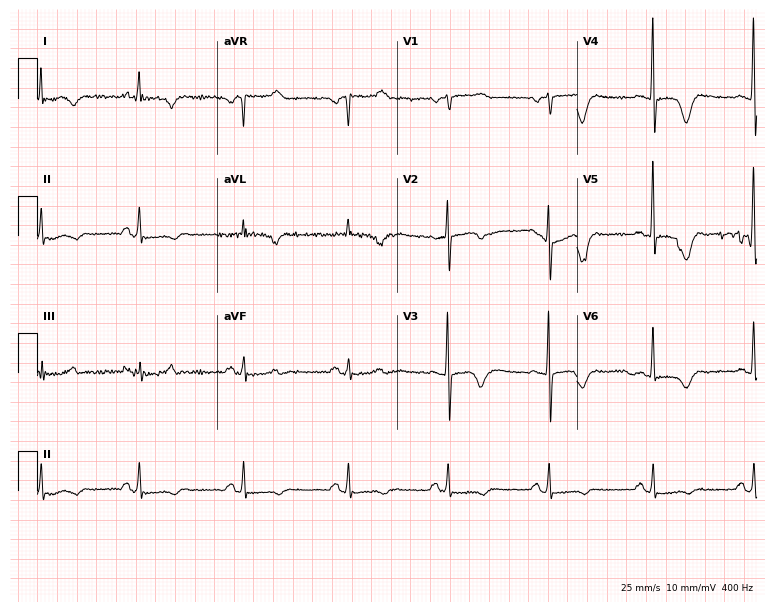
Resting 12-lead electrocardiogram. Patient: a 65-year-old woman. None of these six findings is recorded: first-degree AV block, right bundle branch block, left bundle branch block, sinus bradycardia, atrial fibrillation, sinus tachycardia. Only these six findings were labelled.